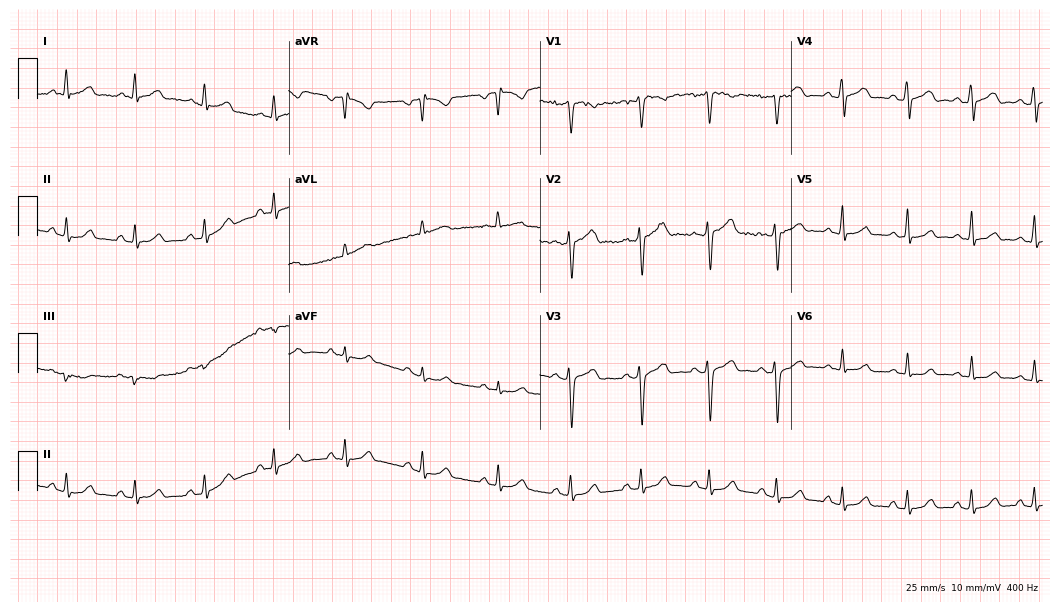
12-lead ECG from a man, 33 years old. Screened for six findings — first-degree AV block, right bundle branch block, left bundle branch block, sinus bradycardia, atrial fibrillation, sinus tachycardia — none is recorded. Only these six findings were labelled.